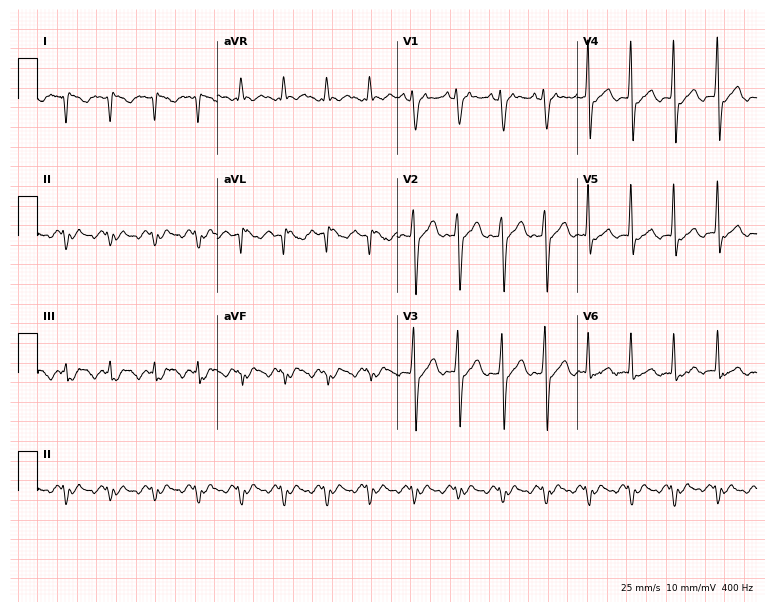
12-lead ECG from a 66-year-old male. Screened for six findings — first-degree AV block, right bundle branch block, left bundle branch block, sinus bradycardia, atrial fibrillation, sinus tachycardia — none is recorded.